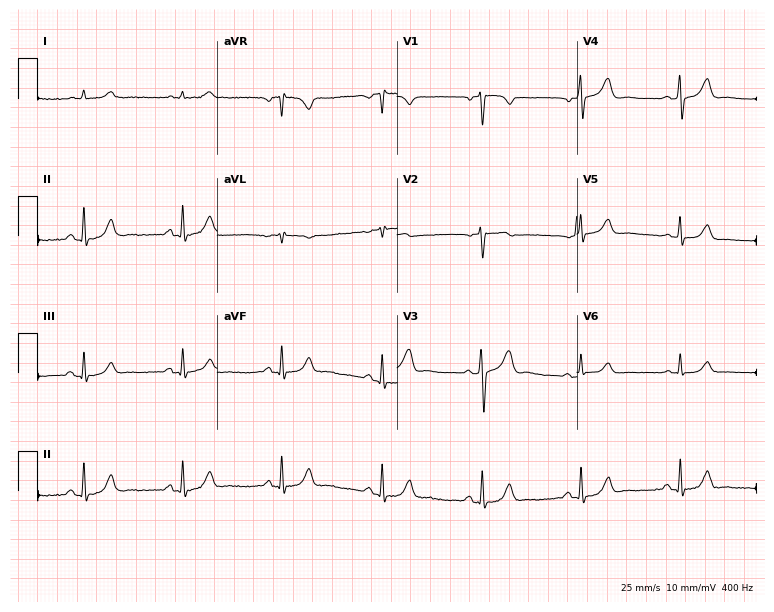
Resting 12-lead electrocardiogram. Patient: a man, 64 years old. None of these six findings is recorded: first-degree AV block, right bundle branch block, left bundle branch block, sinus bradycardia, atrial fibrillation, sinus tachycardia. Findings outside these six are not listed.